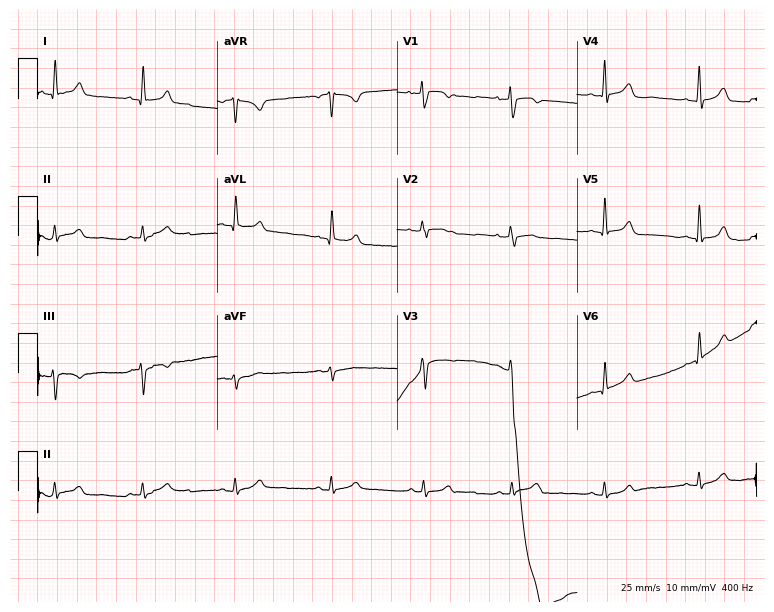
Resting 12-lead electrocardiogram. Patient: a woman, 34 years old. None of these six findings is recorded: first-degree AV block, right bundle branch block, left bundle branch block, sinus bradycardia, atrial fibrillation, sinus tachycardia.